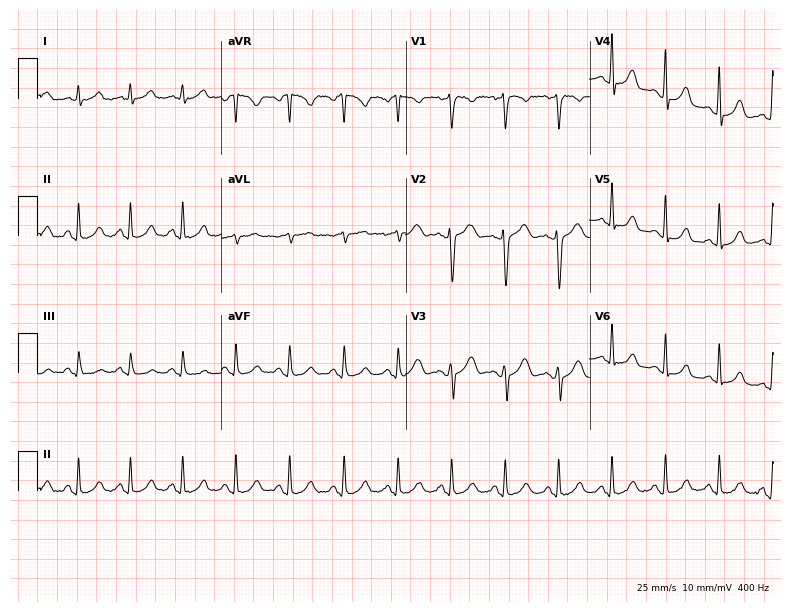
12-lead ECG (7.5-second recording at 400 Hz) from a 37-year-old female. Findings include sinus tachycardia (a sinus rate of 100 beats per minute or more).